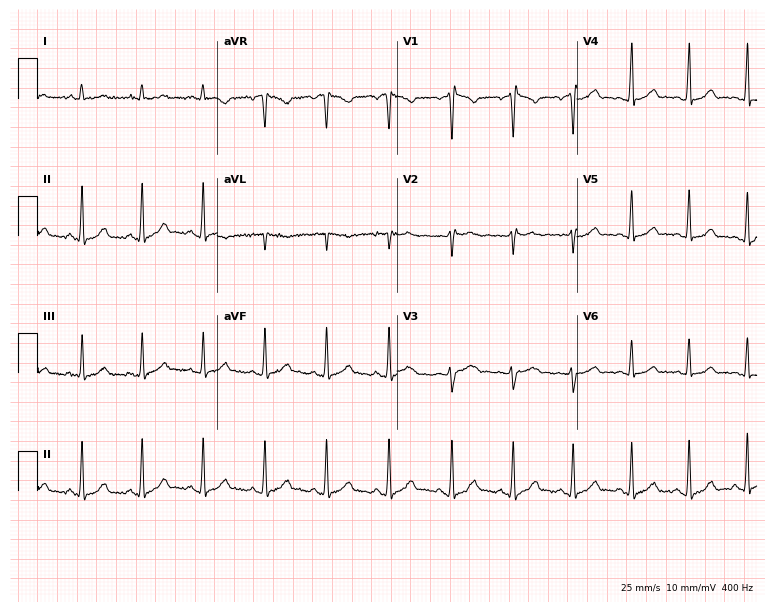
Standard 12-lead ECG recorded from a woman, 24 years old (7.3-second recording at 400 Hz). Read as a normal ECG.